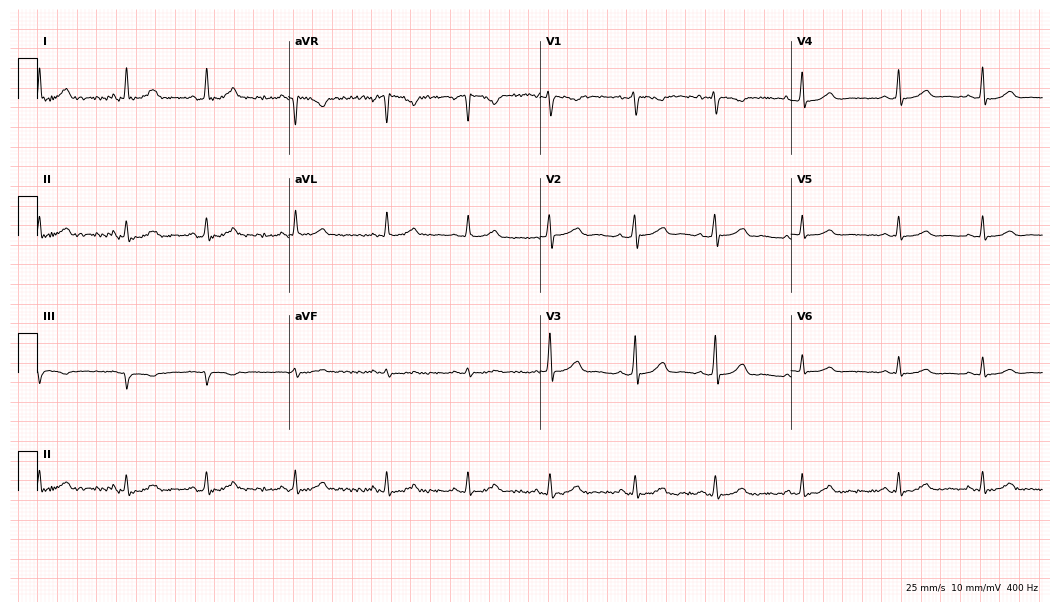
Resting 12-lead electrocardiogram. Patient: a 36-year-old woman. None of these six findings is recorded: first-degree AV block, right bundle branch block, left bundle branch block, sinus bradycardia, atrial fibrillation, sinus tachycardia.